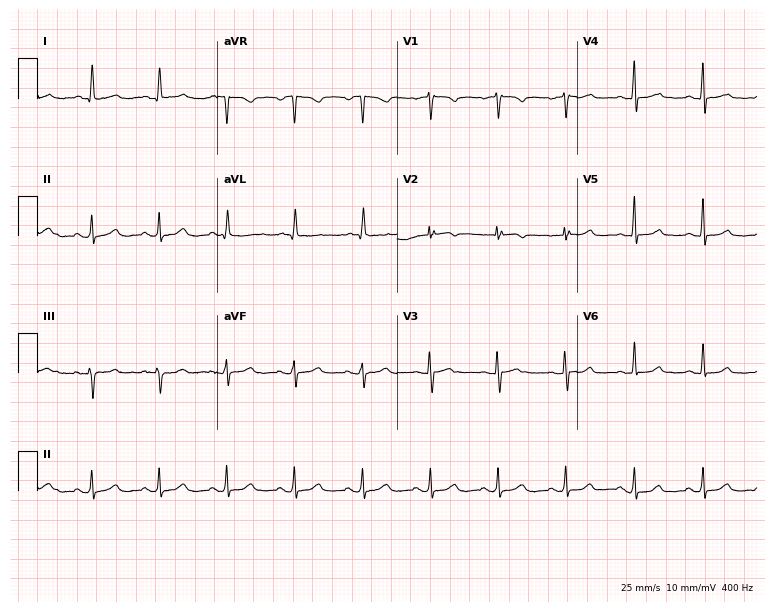
Electrocardiogram (7.3-second recording at 400 Hz), a 67-year-old woman. Of the six screened findings (first-degree AV block, right bundle branch block (RBBB), left bundle branch block (LBBB), sinus bradycardia, atrial fibrillation (AF), sinus tachycardia), none is recorded.